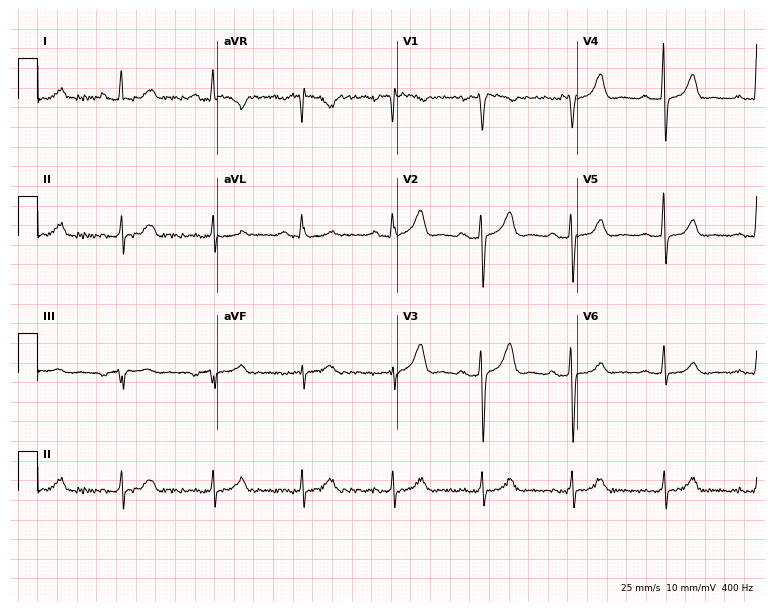
12-lead ECG from a 42-year-old man. Recorded interpretation: within normal limits.